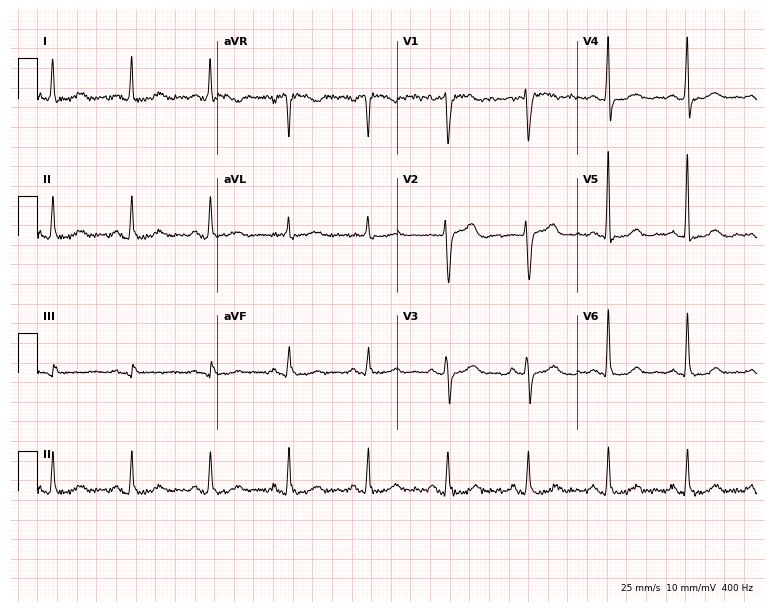
Standard 12-lead ECG recorded from a female patient, 55 years old (7.3-second recording at 400 Hz). Read as a normal ECG.